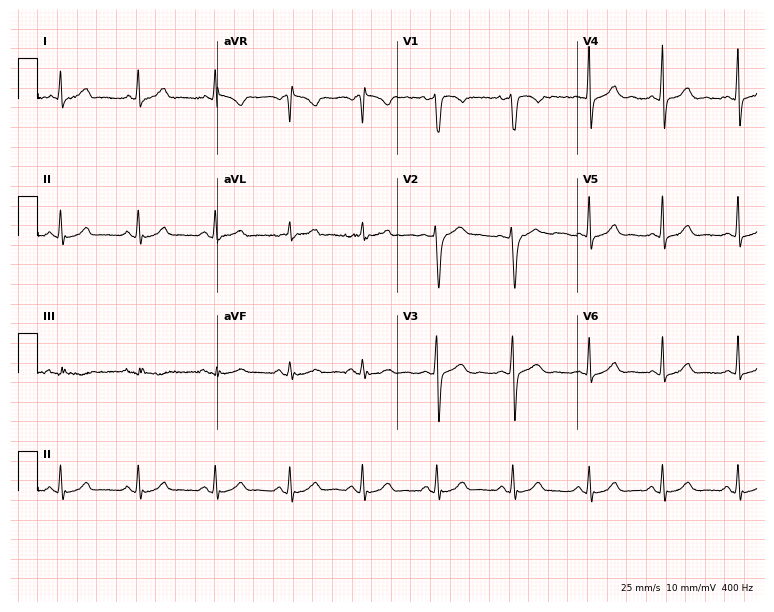
ECG — a 33-year-old female patient. Screened for six findings — first-degree AV block, right bundle branch block, left bundle branch block, sinus bradycardia, atrial fibrillation, sinus tachycardia — none is recorded.